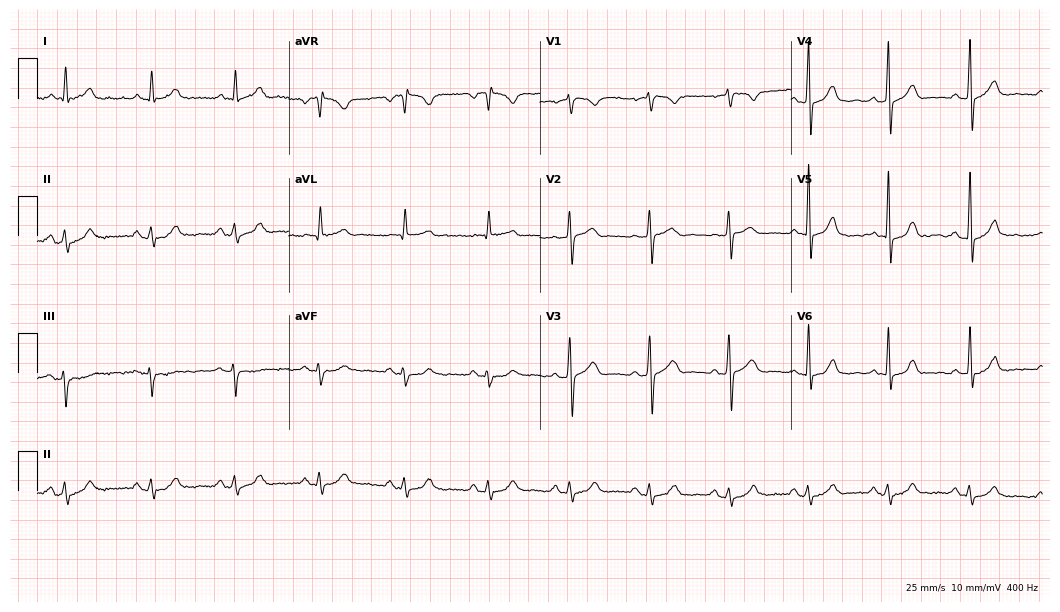
Resting 12-lead electrocardiogram. Patient: a male, 64 years old. Read as a normal ECG.